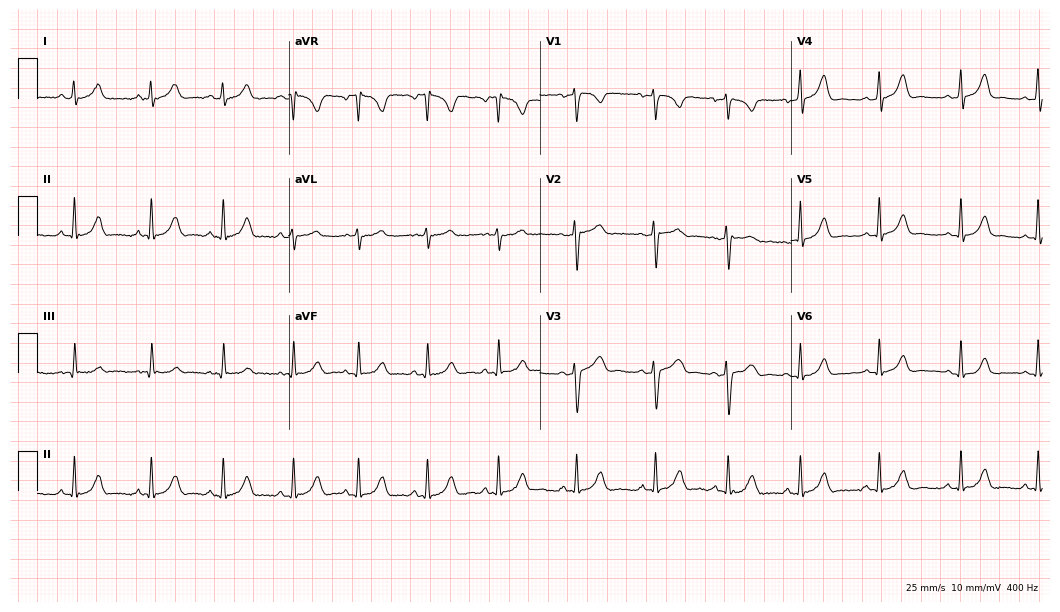
Resting 12-lead electrocardiogram (10.2-second recording at 400 Hz). Patient: a female, 27 years old. None of these six findings is recorded: first-degree AV block, right bundle branch block, left bundle branch block, sinus bradycardia, atrial fibrillation, sinus tachycardia.